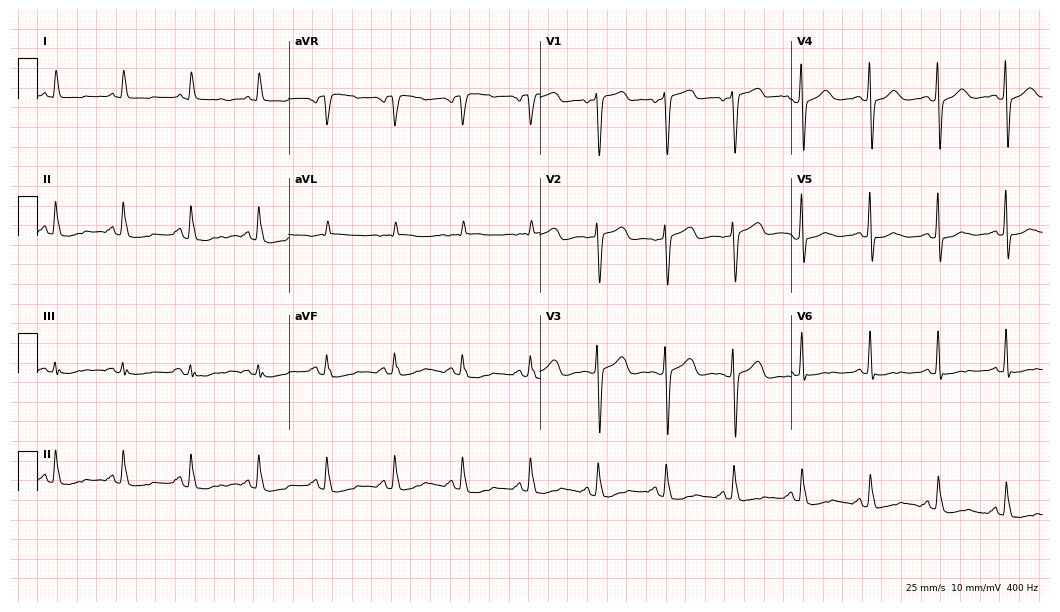
ECG (10.2-second recording at 400 Hz) — a 66-year-old female patient. Screened for six findings — first-degree AV block, right bundle branch block, left bundle branch block, sinus bradycardia, atrial fibrillation, sinus tachycardia — none is recorded. Other findings, if any, are not listed.